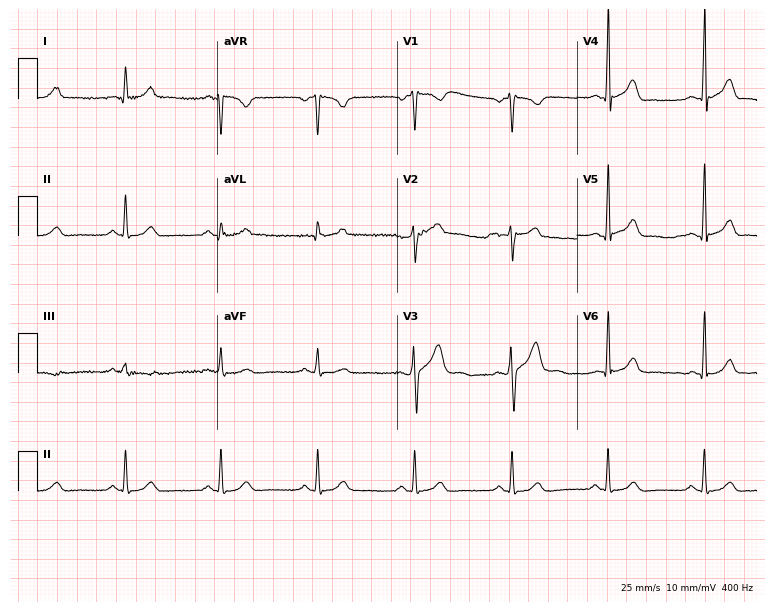
12-lead ECG from a man, 38 years old. Recorded interpretation: within normal limits.